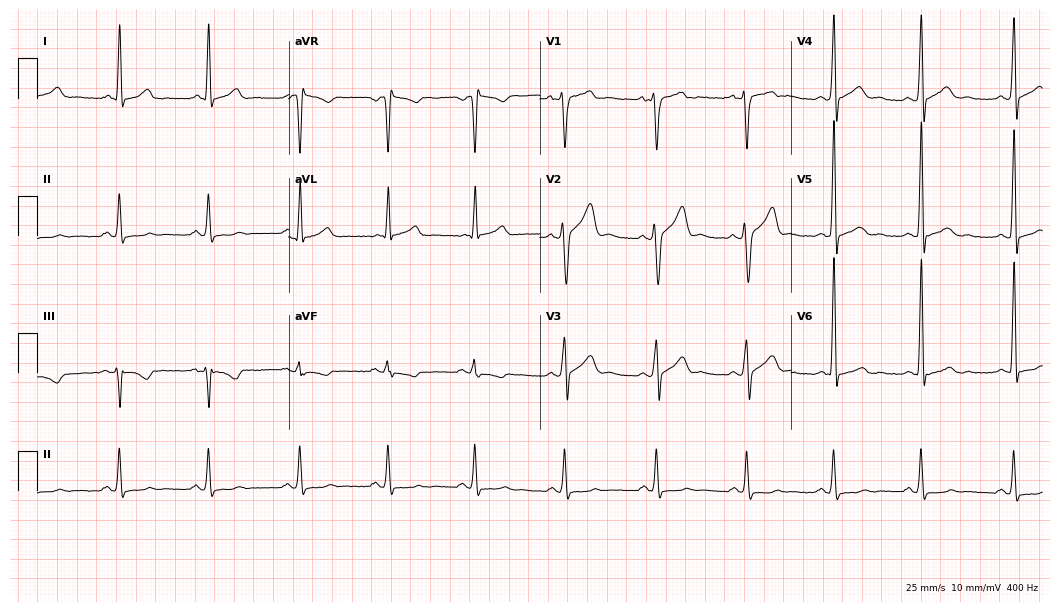
Standard 12-lead ECG recorded from a 43-year-old male patient. None of these six findings is recorded: first-degree AV block, right bundle branch block (RBBB), left bundle branch block (LBBB), sinus bradycardia, atrial fibrillation (AF), sinus tachycardia. Findings outside these six are not listed.